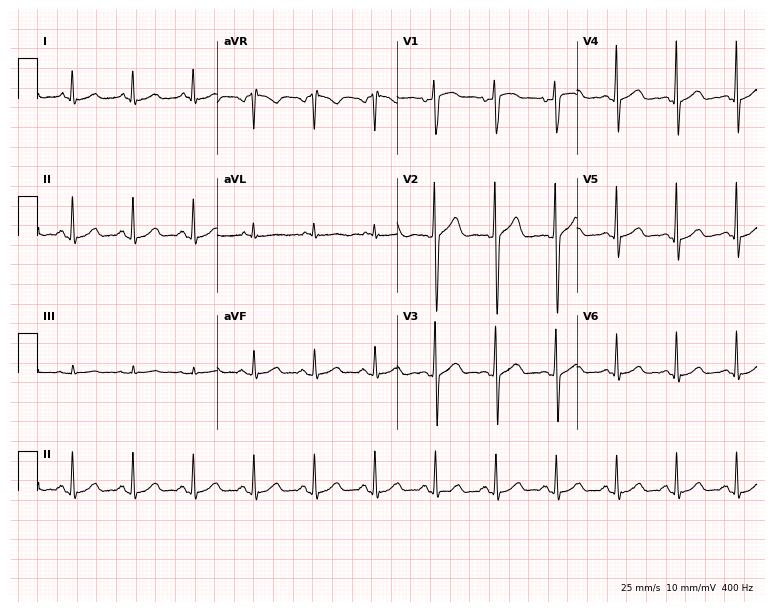
12-lead ECG from a 52-year-old man. Screened for six findings — first-degree AV block, right bundle branch block, left bundle branch block, sinus bradycardia, atrial fibrillation, sinus tachycardia — none is recorded. Only these six findings were labelled.